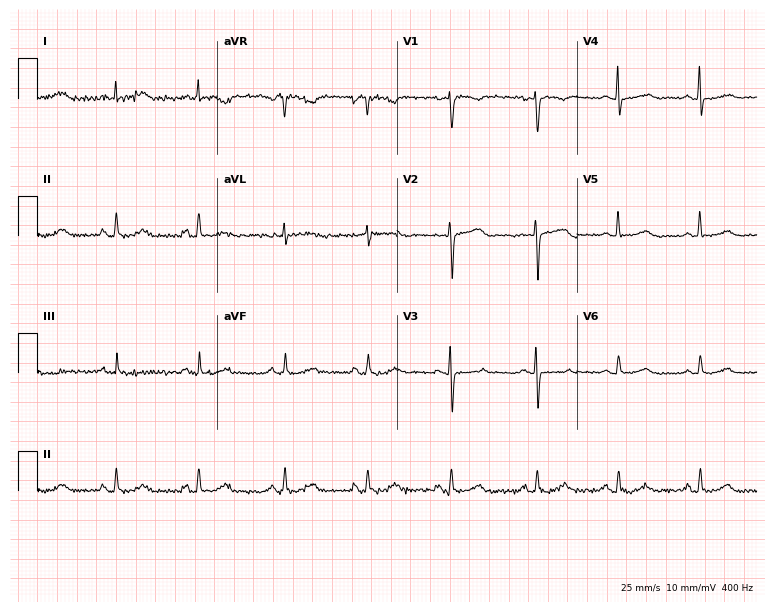
Electrocardiogram, a 58-year-old female. Overall reading on record: normal ECG.